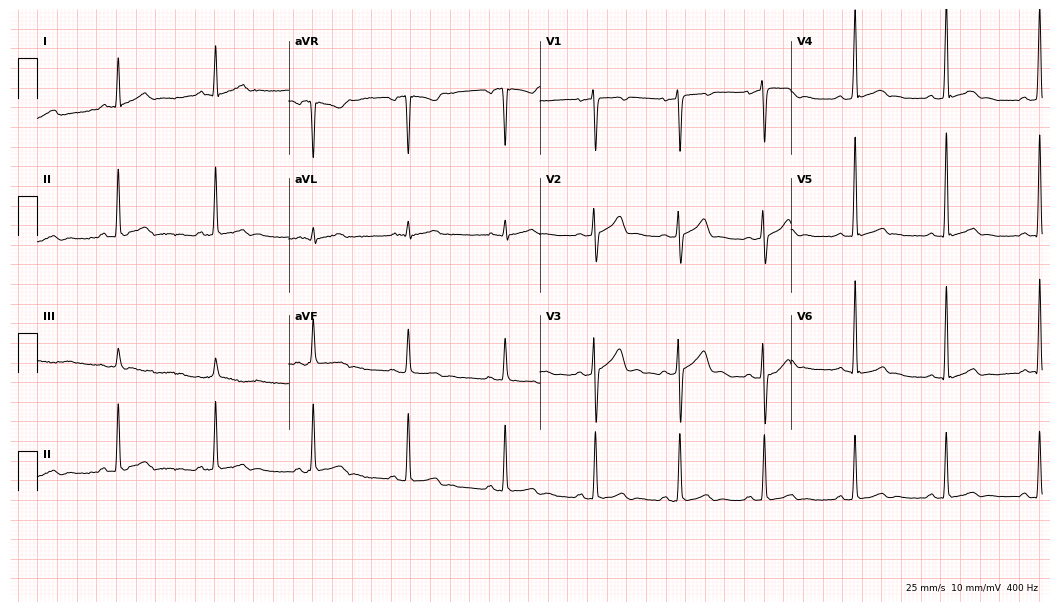
12-lead ECG from a man, 28 years old (10.2-second recording at 400 Hz). No first-degree AV block, right bundle branch block, left bundle branch block, sinus bradycardia, atrial fibrillation or sinus tachycardia recorded for this tracing.